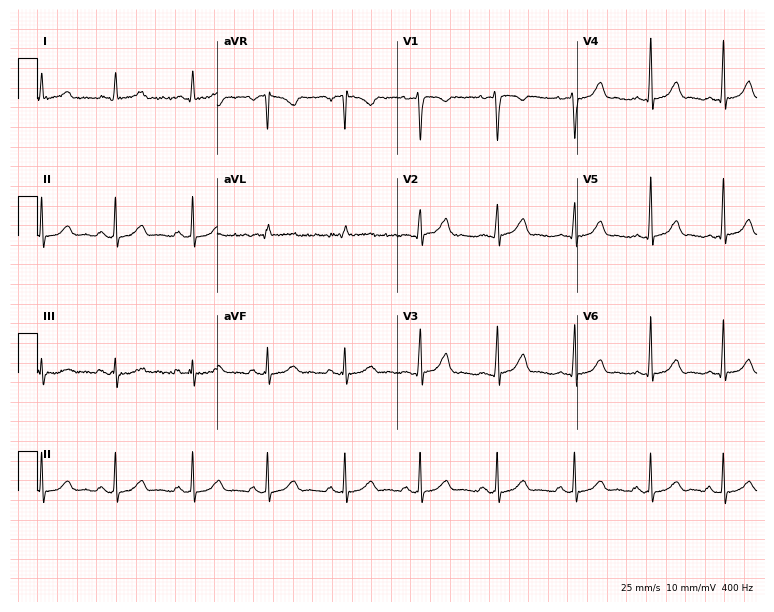
Resting 12-lead electrocardiogram. Patient: a 35-year-old female. Read as a normal ECG.